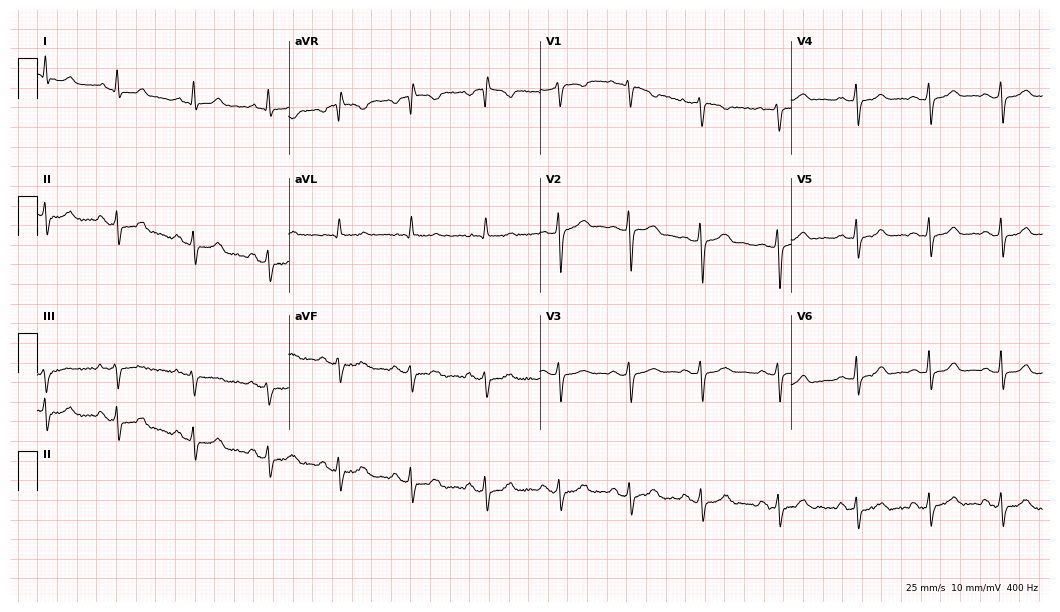
Electrocardiogram (10.2-second recording at 400 Hz), a 27-year-old female. Overall reading on record: normal ECG.